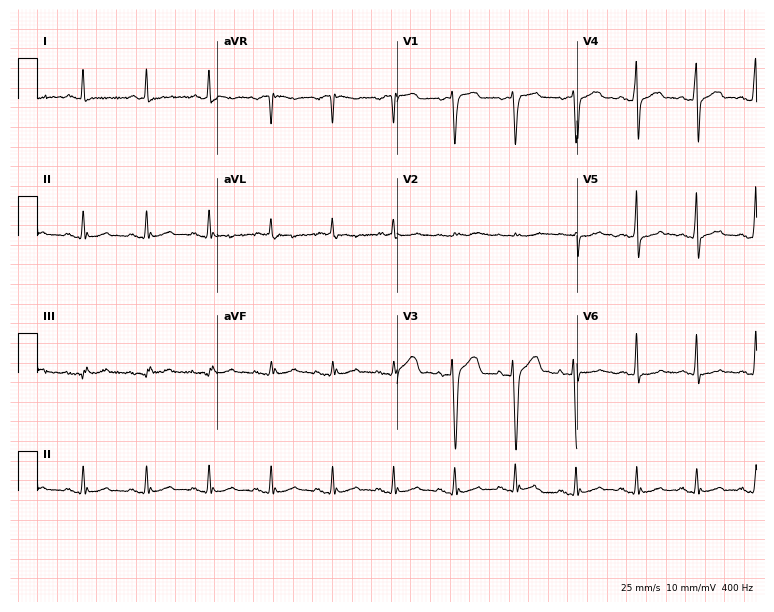
12-lead ECG from a 45-year-old man. Recorded interpretation: within normal limits.